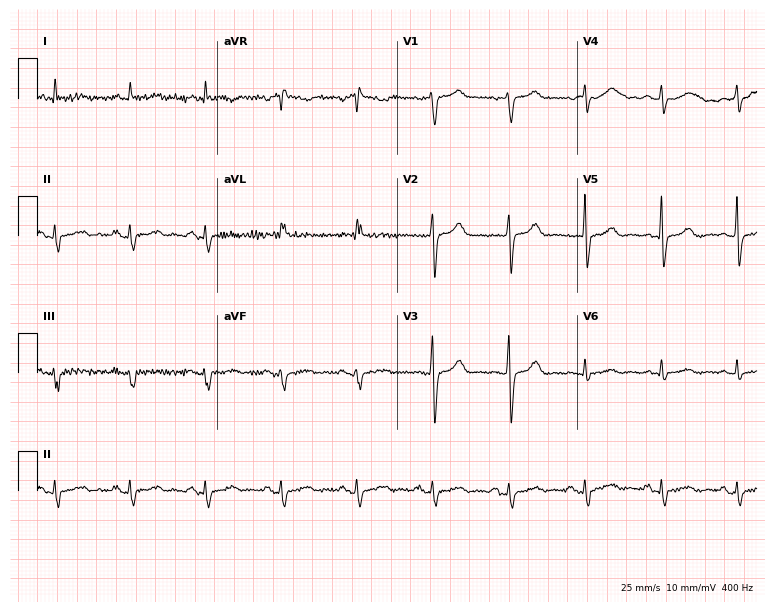
Standard 12-lead ECG recorded from a male, 20 years old. None of these six findings is recorded: first-degree AV block, right bundle branch block, left bundle branch block, sinus bradycardia, atrial fibrillation, sinus tachycardia.